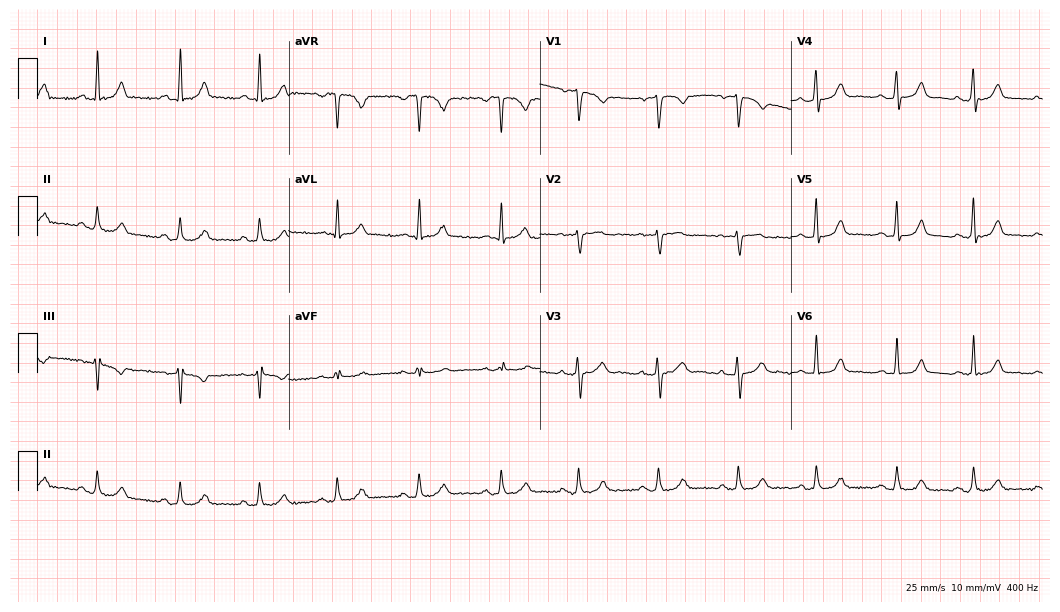
Electrocardiogram, a female, 43 years old. Overall reading on record: normal ECG.